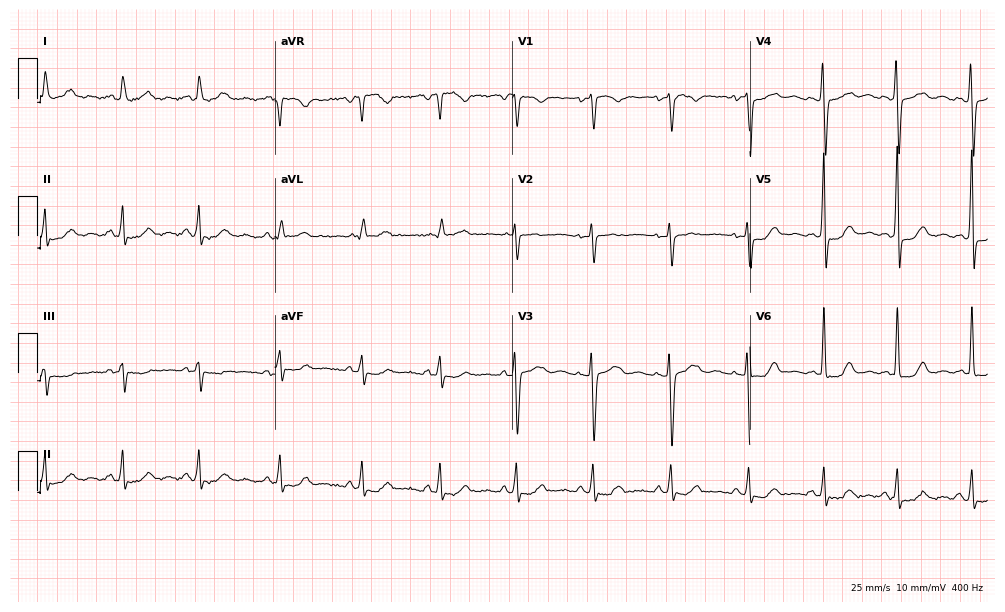
Standard 12-lead ECG recorded from a woman, 40 years old (9.7-second recording at 400 Hz). None of these six findings is recorded: first-degree AV block, right bundle branch block (RBBB), left bundle branch block (LBBB), sinus bradycardia, atrial fibrillation (AF), sinus tachycardia.